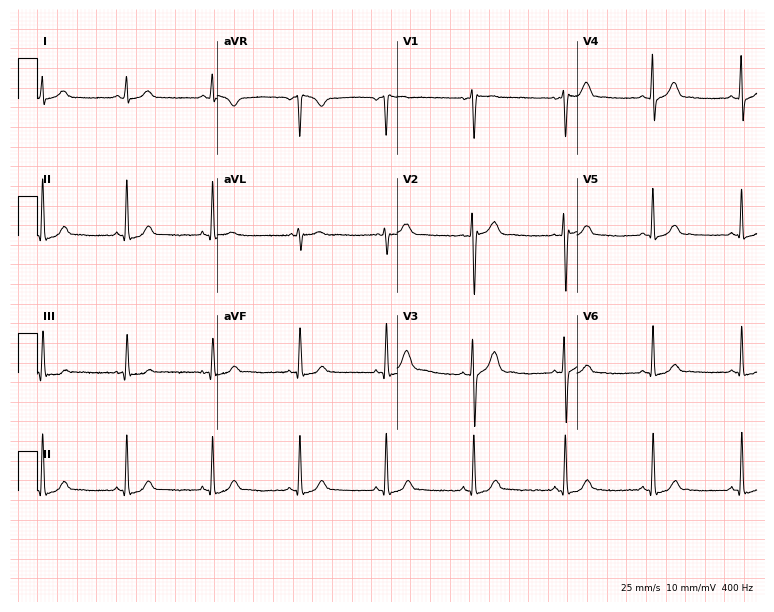
Electrocardiogram (7.3-second recording at 400 Hz), a 38-year-old woman. Of the six screened findings (first-degree AV block, right bundle branch block, left bundle branch block, sinus bradycardia, atrial fibrillation, sinus tachycardia), none is recorded. Other findings, if any, are not listed.